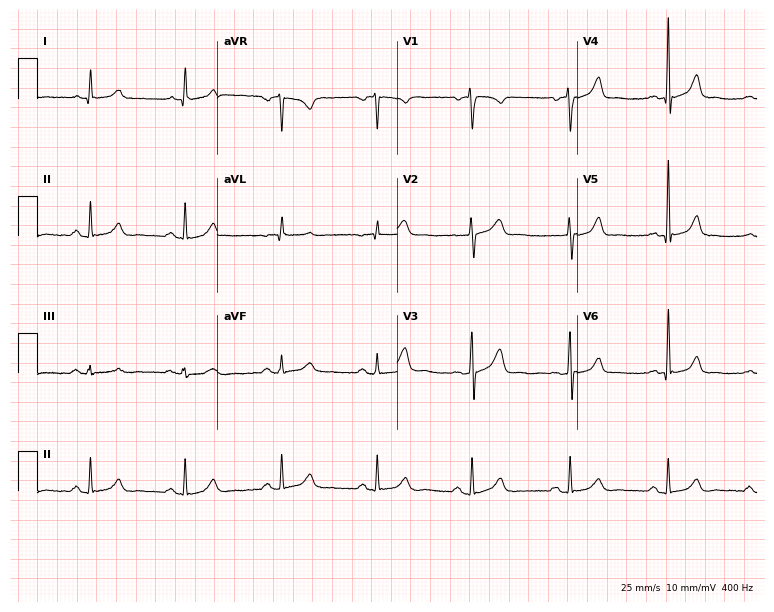
Standard 12-lead ECG recorded from a 52-year-old male (7.3-second recording at 400 Hz). Read as a normal ECG.